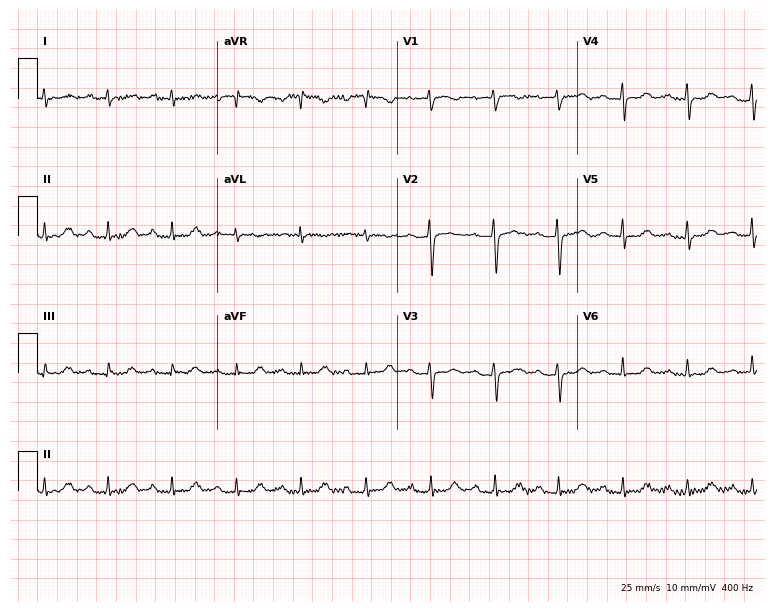
12-lead ECG (7.3-second recording at 400 Hz) from a woman, 47 years old. Findings include first-degree AV block.